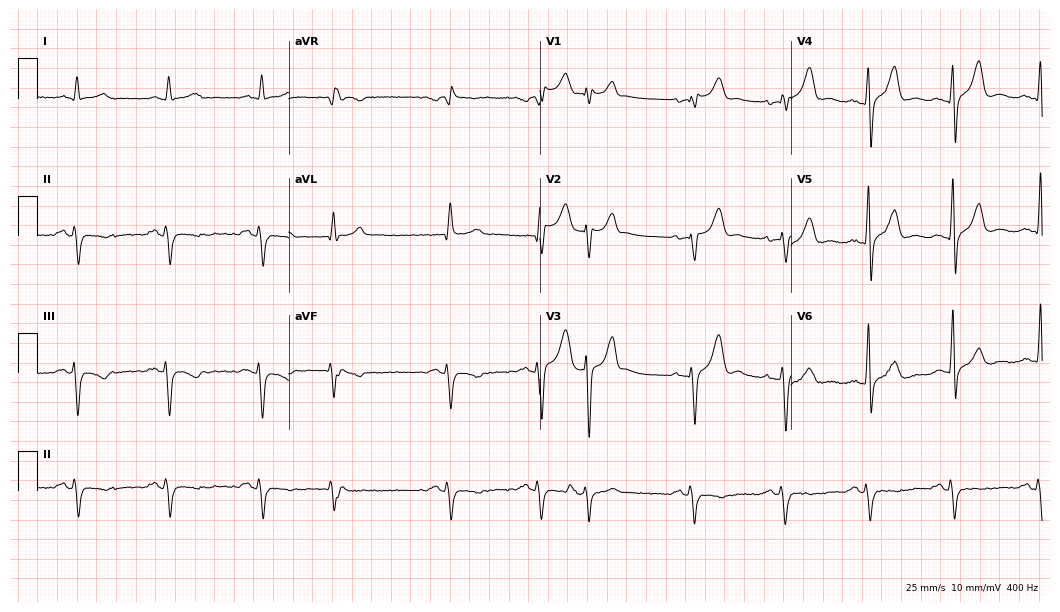
Electrocardiogram, a man, 66 years old. Of the six screened findings (first-degree AV block, right bundle branch block (RBBB), left bundle branch block (LBBB), sinus bradycardia, atrial fibrillation (AF), sinus tachycardia), none is recorded.